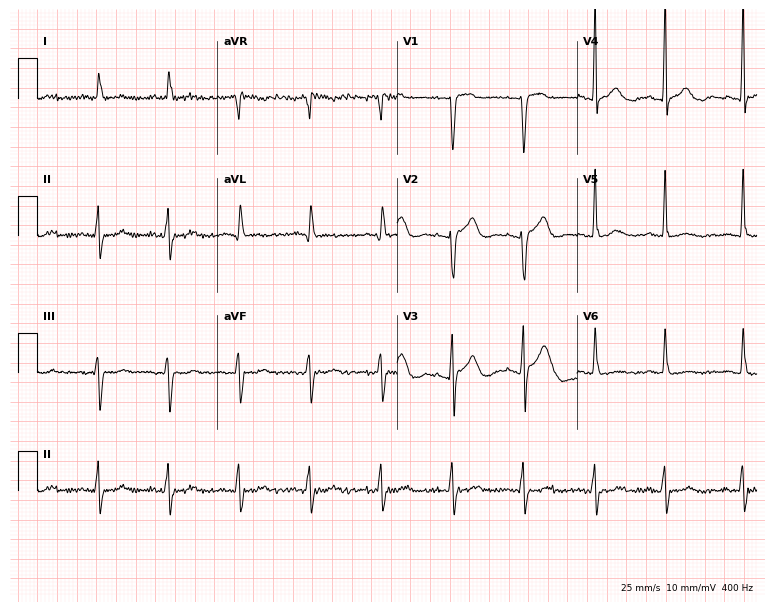
12-lead ECG from a 74-year-old man. Screened for six findings — first-degree AV block, right bundle branch block (RBBB), left bundle branch block (LBBB), sinus bradycardia, atrial fibrillation (AF), sinus tachycardia — none is recorded. Only these six findings were labelled.